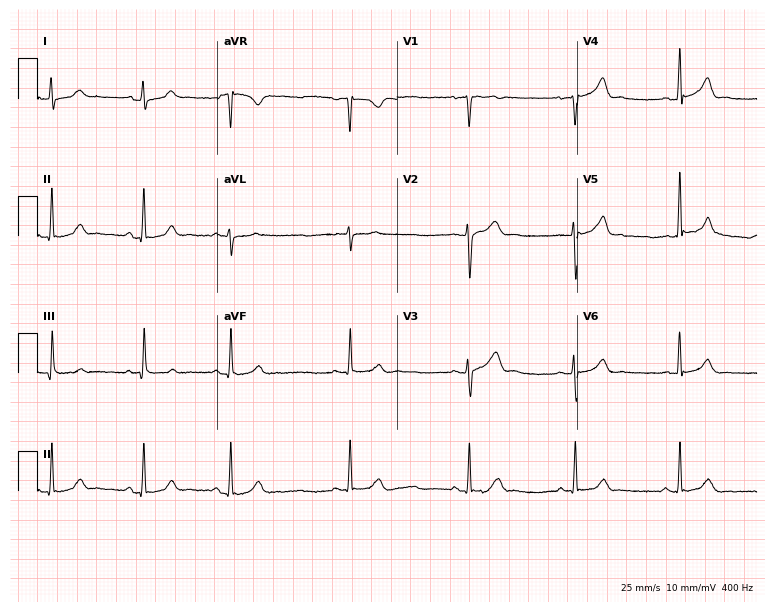
ECG (7.3-second recording at 400 Hz) — a 24-year-old male. Labelled as a normal ECG.